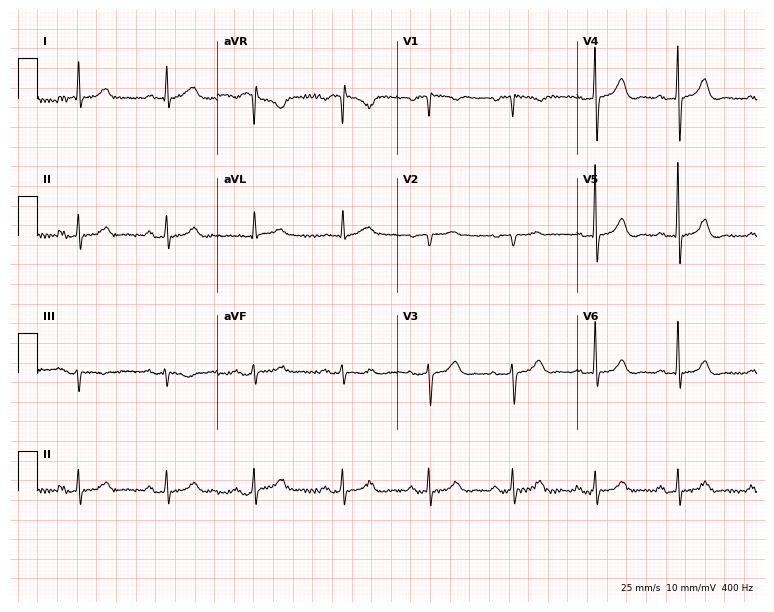
Resting 12-lead electrocardiogram. Patient: an 83-year-old female. None of these six findings is recorded: first-degree AV block, right bundle branch block (RBBB), left bundle branch block (LBBB), sinus bradycardia, atrial fibrillation (AF), sinus tachycardia.